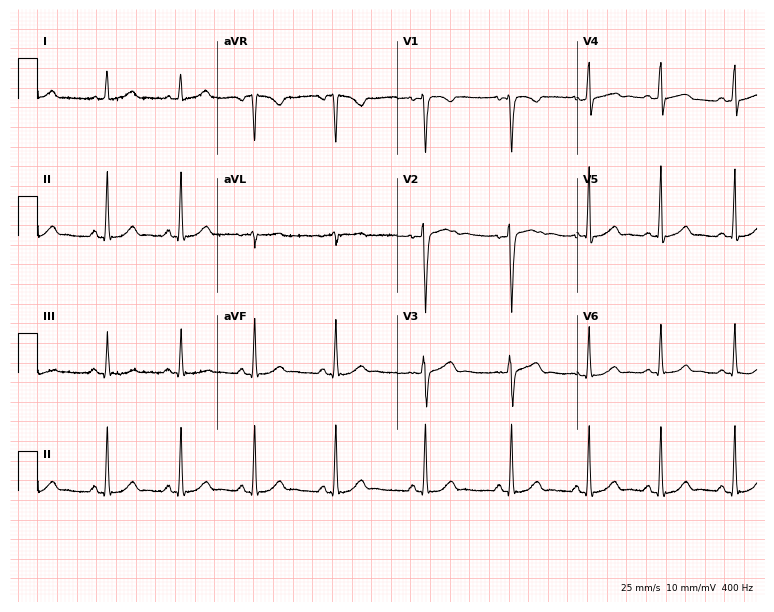
Electrocardiogram (7.3-second recording at 400 Hz), a female patient, 30 years old. Of the six screened findings (first-degree AV block, right bundle branch block (RBBB), left bundle branch block (LBBB), sinus bradycardia, atrial fibrillation (AF), sinus tachycardia), none is recorded. Findings outside these six are not listed.